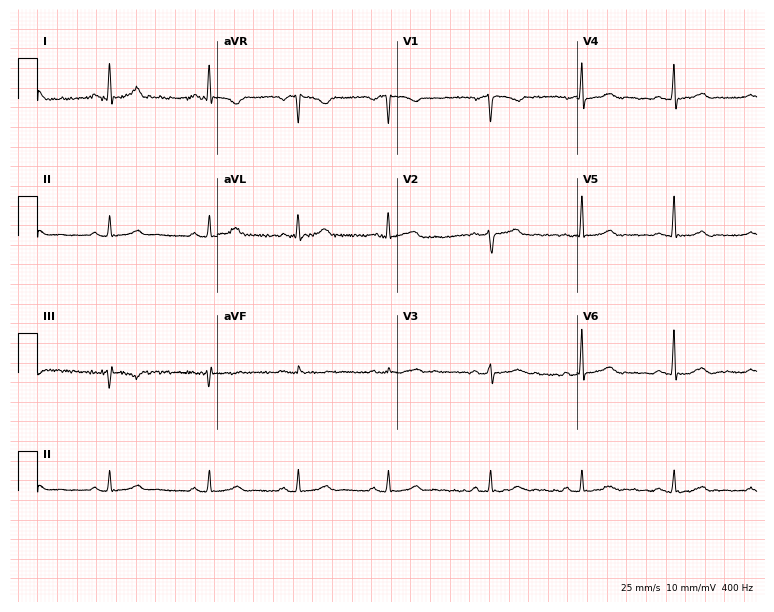
Standard 12-lead ECG recorded from a woman, 39 years old (7.3-second recording at 400 Hz). Read as a normal ECG.